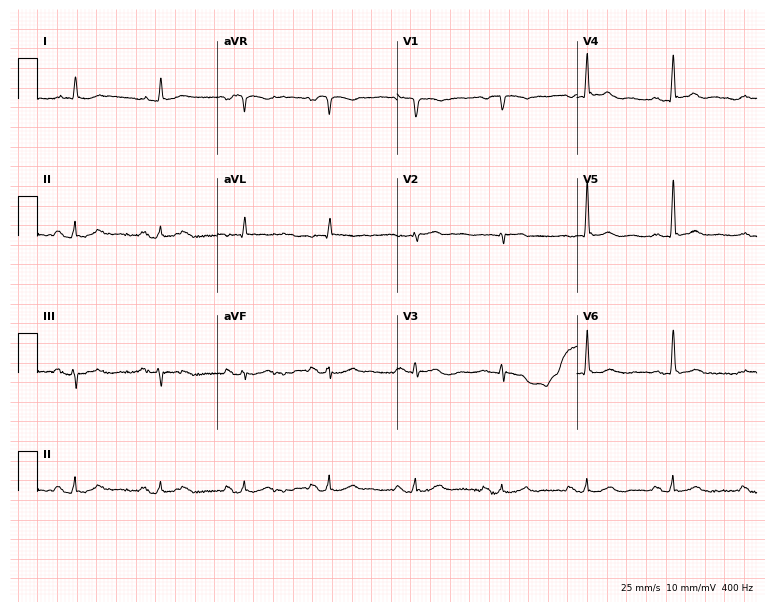
Resting 12-lead electrocardiogram. Patient: a 73-year-old man. None of these six findings is recorded: first-degree AV block, right bundle branch block, left bundle branch block, sinus bradycardia, atrial fibrillation, sinus tachycardia. Other findings, if any, are not listed.